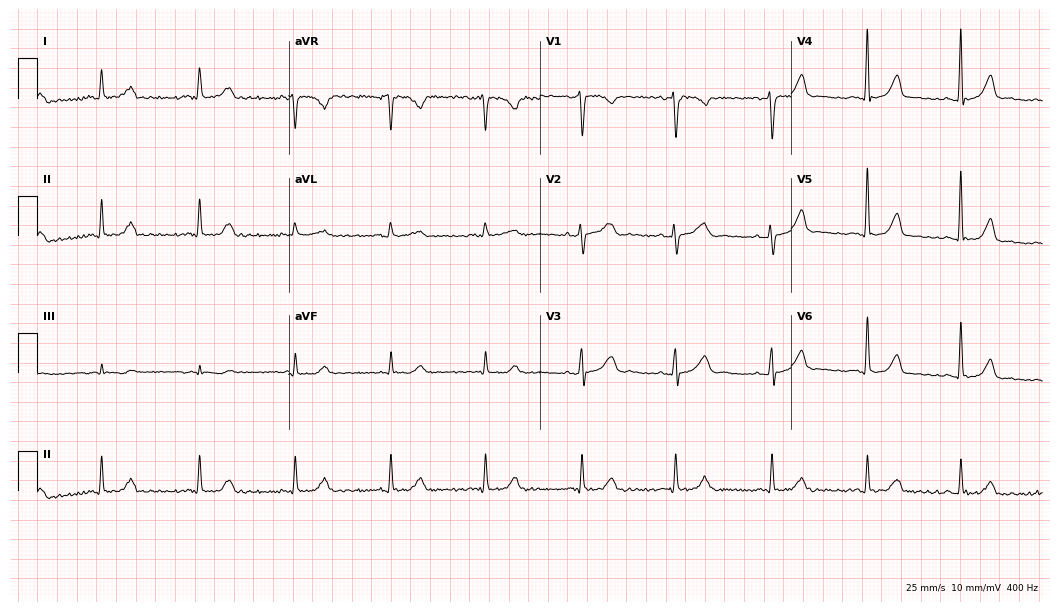
Electrocardiogram, a 47-year-old female patient. Of the six screened findings (first-degree AV block, right bundle branch block (RBBB), left bundle branch block (LBBB), sinus bradycardia, atrial fibrillation (AF), sinus tachycardia), none is recorded.